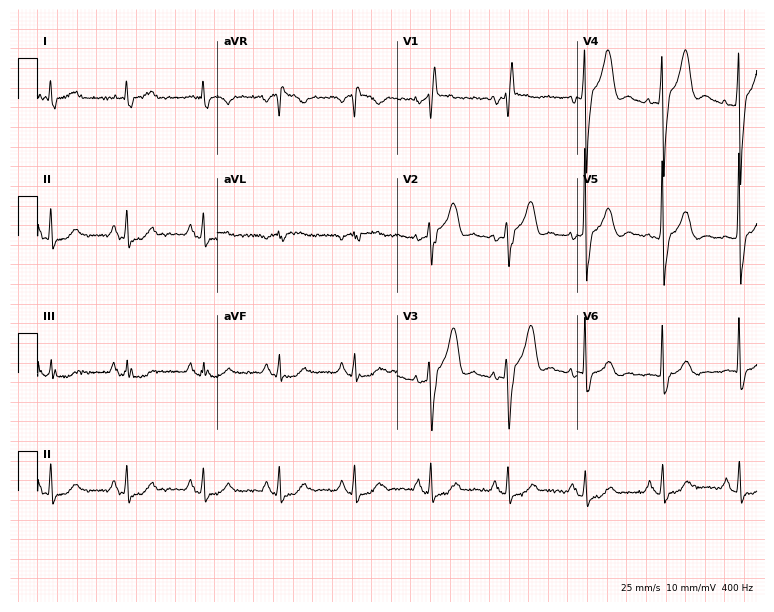
Standard 12-lead ECG recorded from a 73-year-old man (7.3-second recording at 400 Hz). None of these six findings is recorded: first-degree AV block, right bundle branch block, left bundle branch block, sinus bradycardia, atrial fibrillation, sinus tachycardia. Only these six findings were labelled.